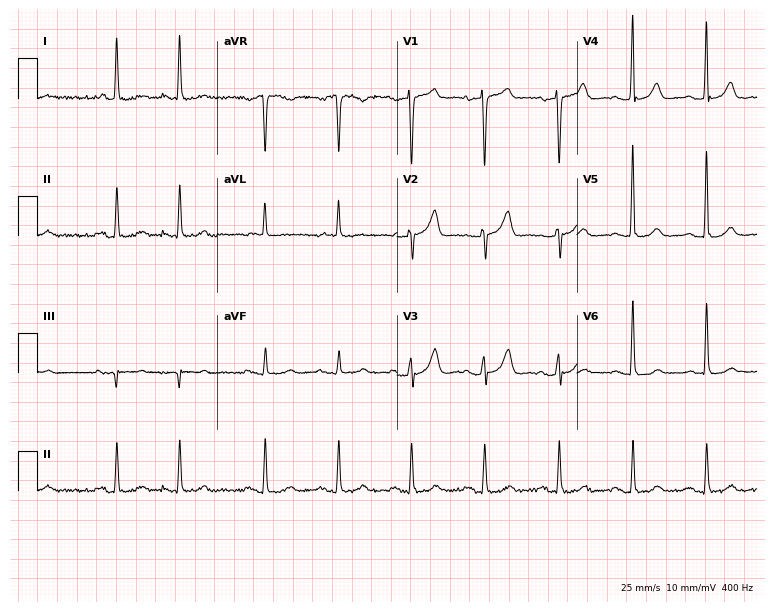
Electrocardiogram (7.3-second recording at 400 Hz), a male patient, 79 years old. Overall reading on record: normal ECG.